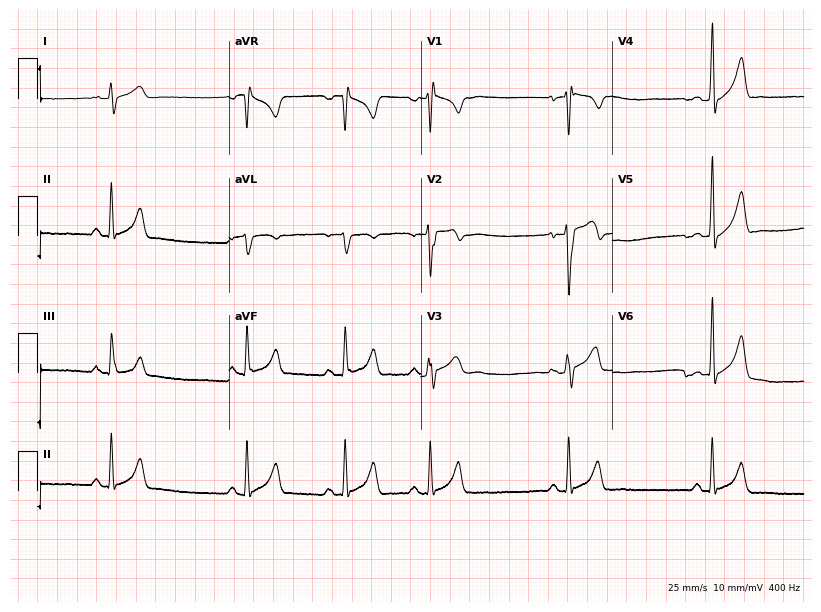
ECG (7.8-second recording at 400 Hz) — a man, 21 years old. Labelled as a normal ECG.